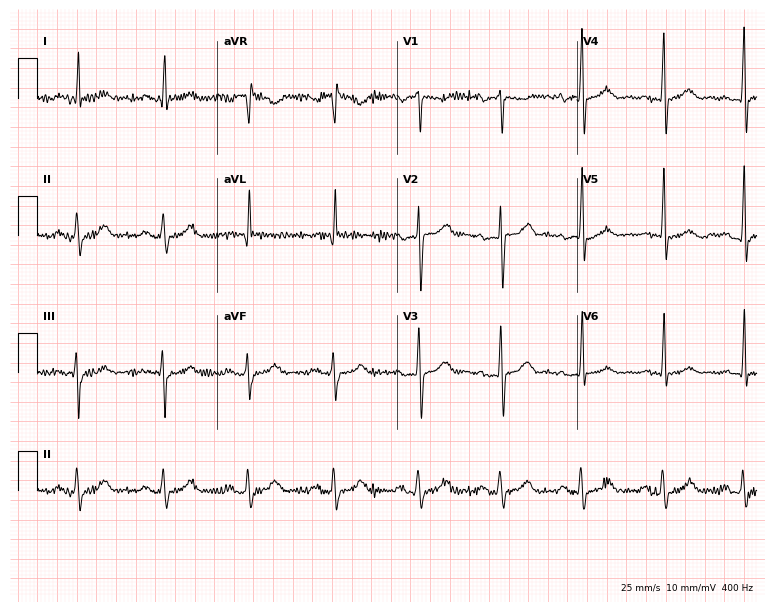
12-lead ECG from a male, 65 years old (7.3-second recording at 400 Hz). Recorded interpretation: within normal limits.